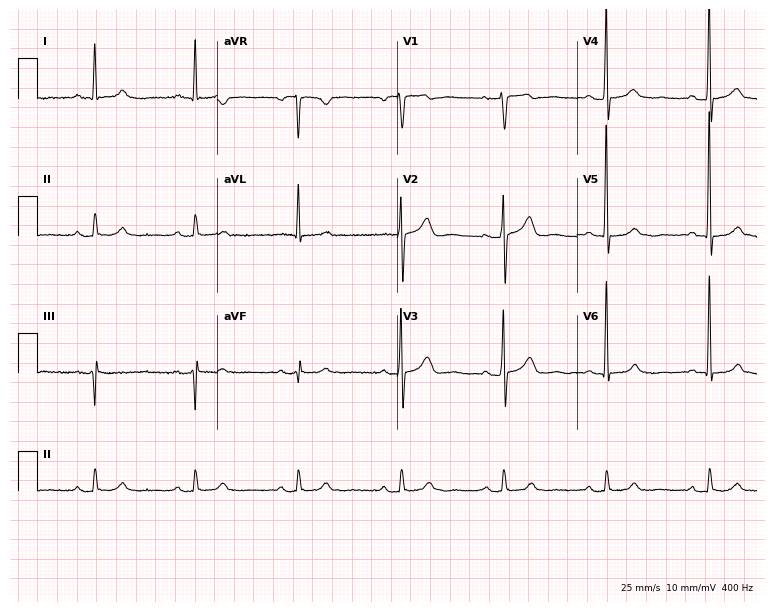
12-lead ECG (7.3-second recording at 400 Hz) from a male, 63 years old. Labelled as a normal ECG.